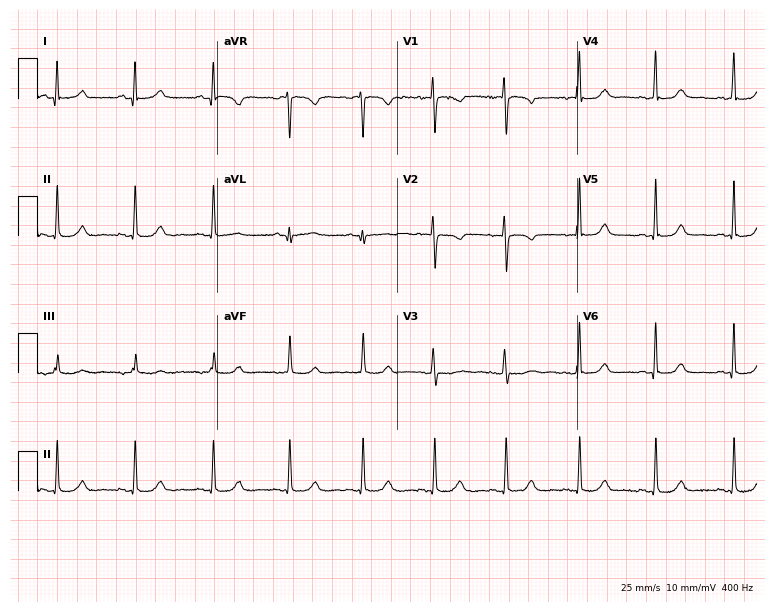
Electrocardiogram, a 39-year-old female patient. Overall reading on record: normal ECG.